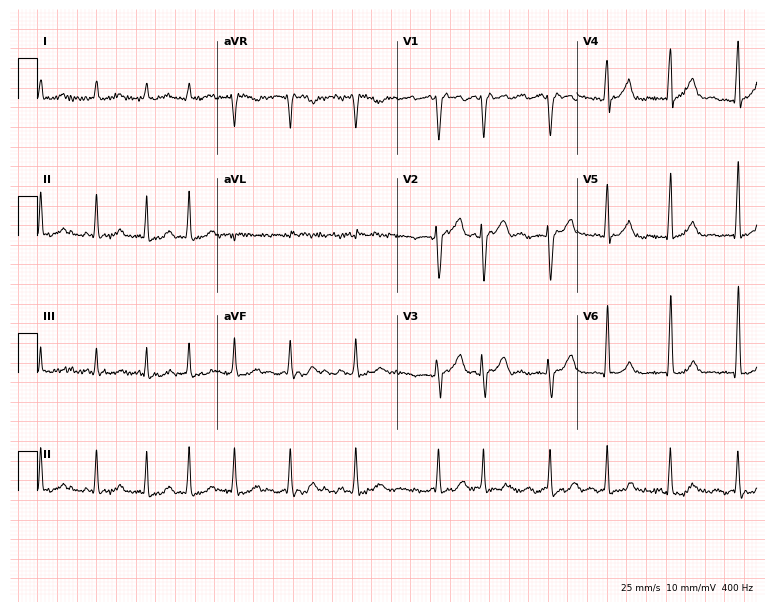
Electrocardiogram, a male patient, 55 years old. Interpretation includes atrial fibrillation.